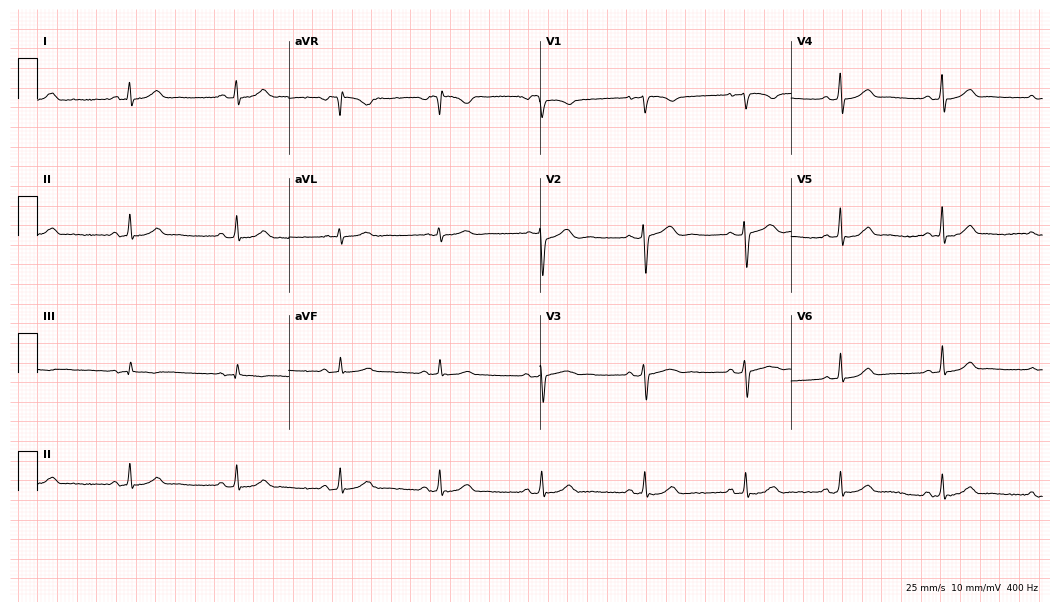
Standard 12-lead ECG recorded from a female, 24 years old. Read as a normal ECG.